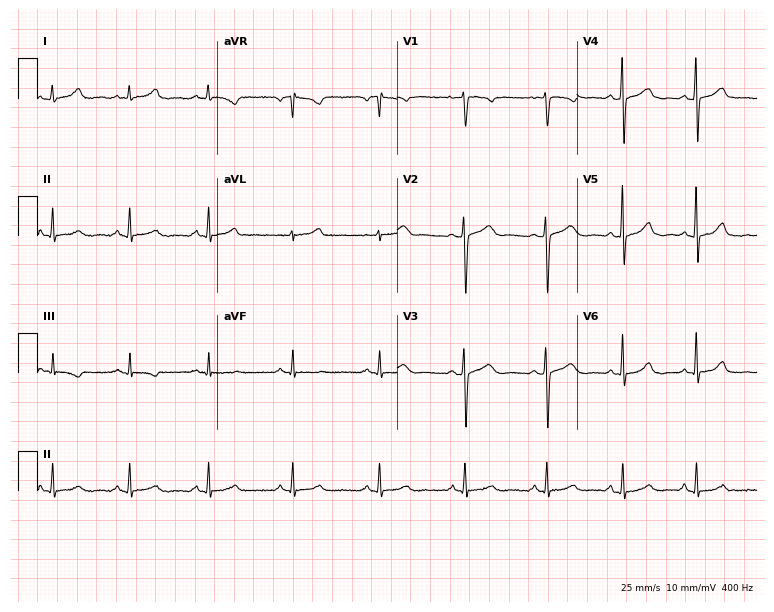
12-lead ECG from a female patient, 43 years old (7.3-second recording at 400 Hz). Recorded interpretation: within normal limits.